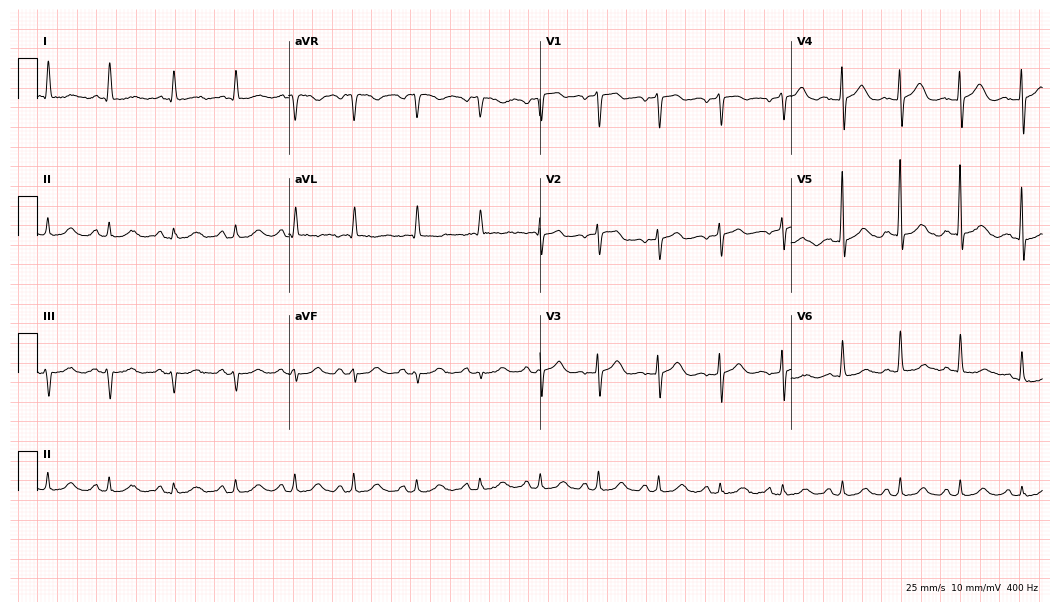
Standard 12-lead ECG recorded from a woman, 80 years old (10.2-second recording at 400 Hz). Read as a normal ECG.